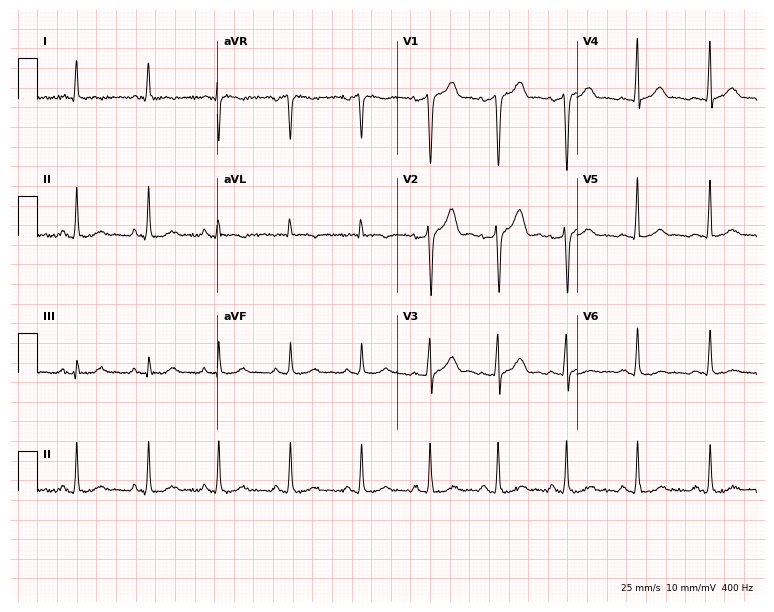
Electrocardiogram, a man, 58 years old. Of the six screened findings (first-degree AV block, right bundle branch block, left bundle branch block, sinus bradycardia, atrial fibrillation, sinus tachycardia), none is recorded. Other findings, if any, are not listed.